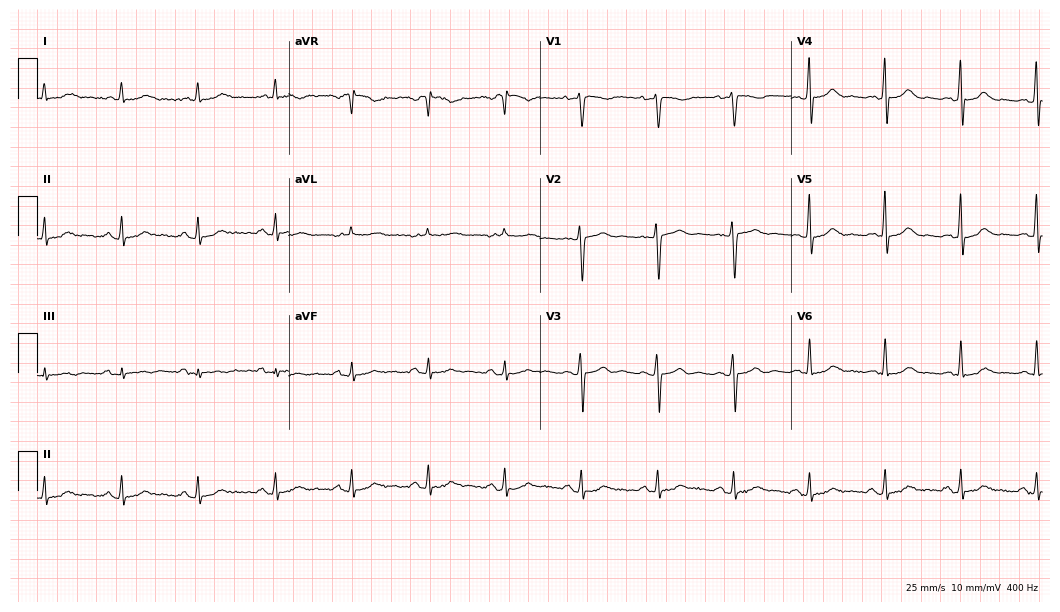
ECG (10.2-second recording at 400 Hz) — a woman, 77 years old. Labelled as a normal ECG.